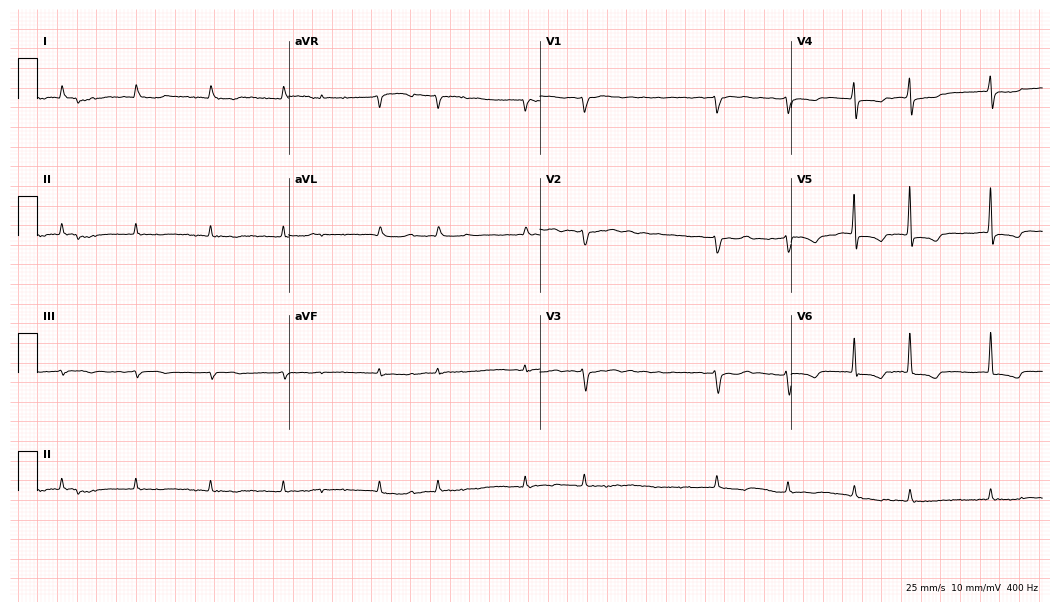
Resting 12-lead electrocardiogram. Patient: a 78-year-old man. The tracing shows atrial fibrillation.